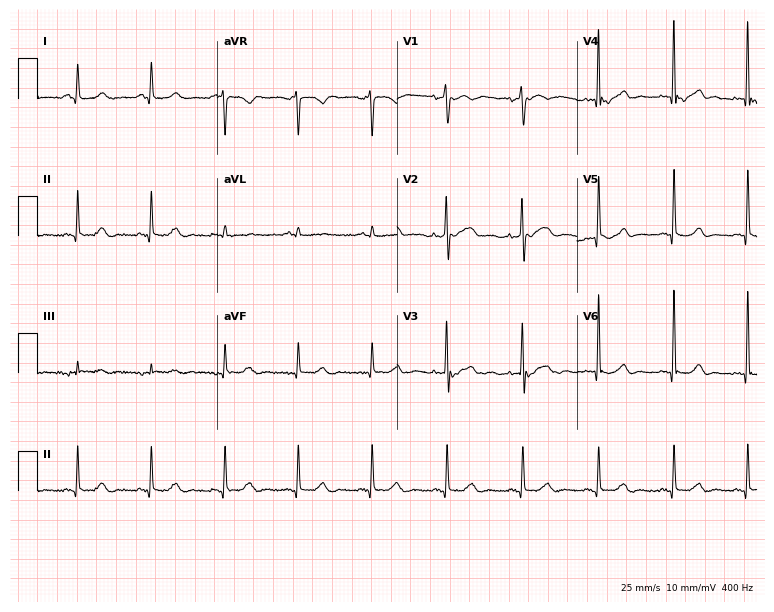
ECG — a female patient, 58 years old. Labelled as a normal ECG.